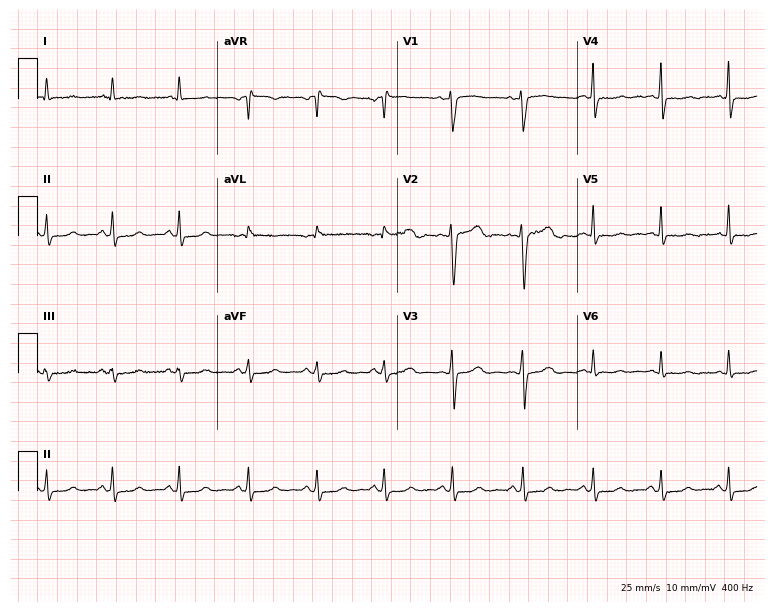
Resting 12-lead electrocardiogram. Patient: a 50-year-old female. Read as a normal ECG.